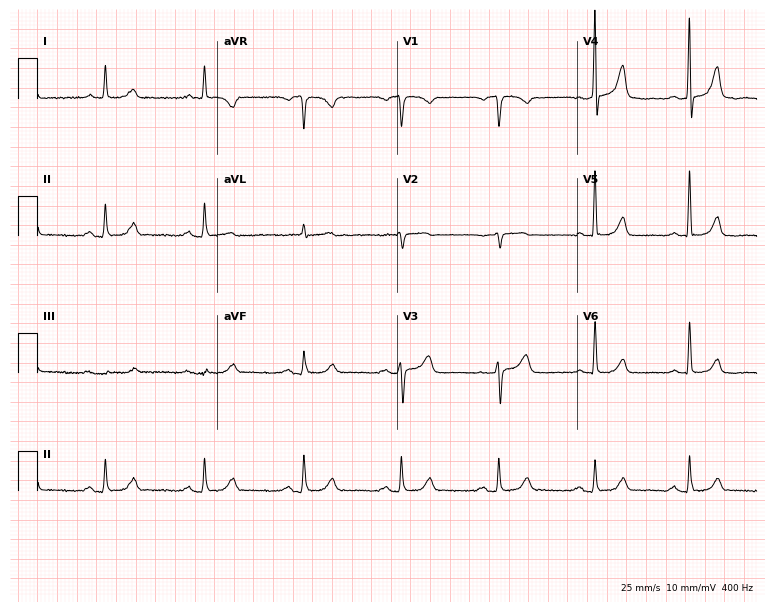
Resting 12-lead electrocardiogram (7.3-second recording at 400 Hz). Patient: an 81-year-old female. None of these six findings is recorded: first-degree AV block, right bundle branch block, left bundle branch block, sinus bradycardia, atrial fibrillation, sinus tachycardia. Only these six findings were labelled.